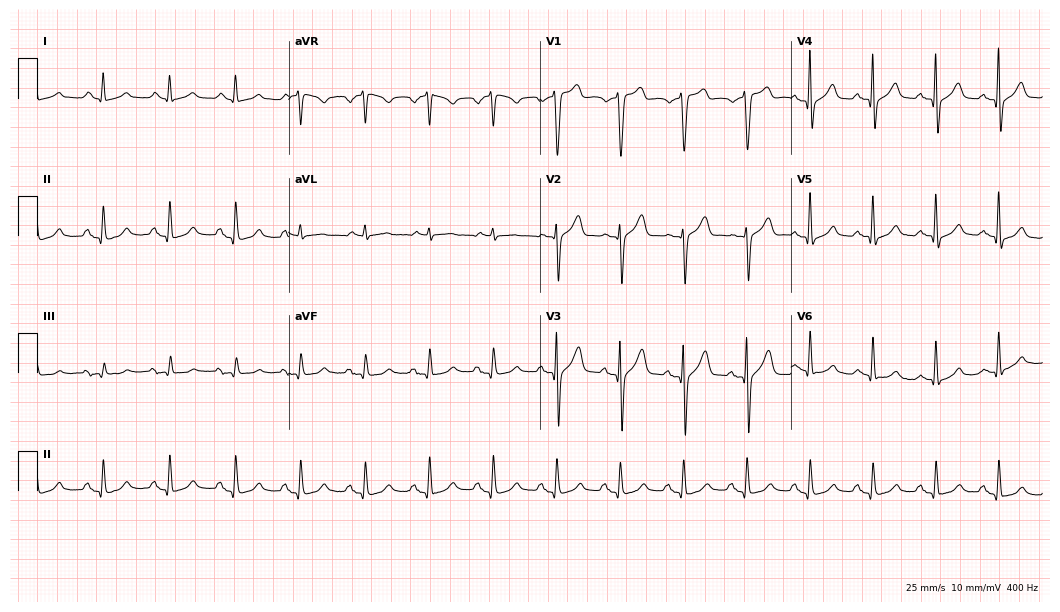
ECG (10.2-second recording at 400 Hz) — a 66-year-old man. Screened for six findings — first-degree AV block, right bundle branch block, left bundle branch block, sinus bradycardia, atrial fibrillation, sinus tachycardia — none is recorded.